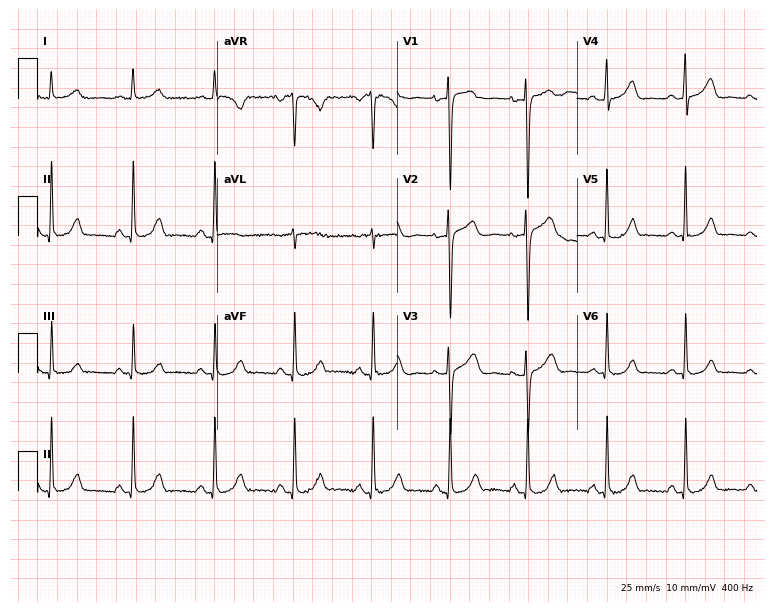
Resting 12-lead electrocardiogram. Patient: a 53-year-old woman. None of these six findings is recorded: first-degree AV block, right bundle branch block, left bundle branch block, sinus bradycardia, atrial fibrillation, sinus tachycardia.